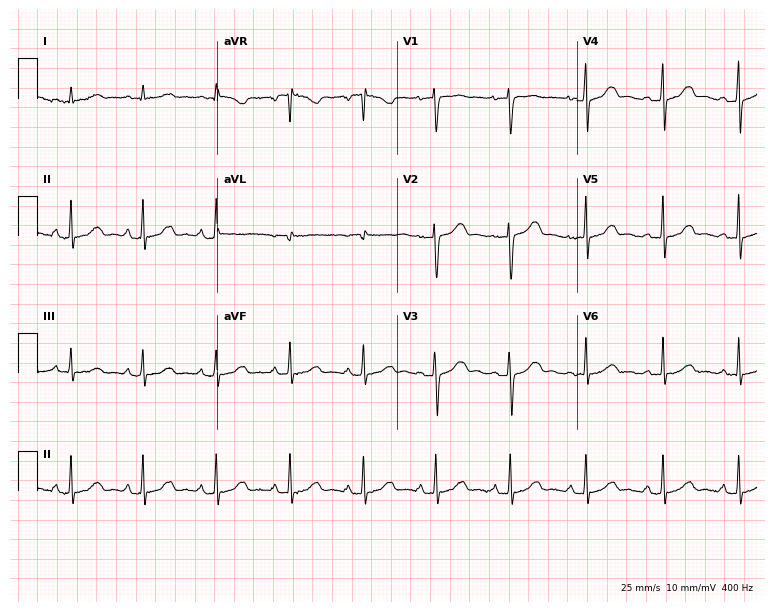
ECG — a female, 37 years old. Screened for six findings — first-degree AV block, right bundle branch block (RBBB), left bundle branch block (LBBB), sinus bradycardia, atrial fibrillation (AF), sinus tachycardia — none is recorded.